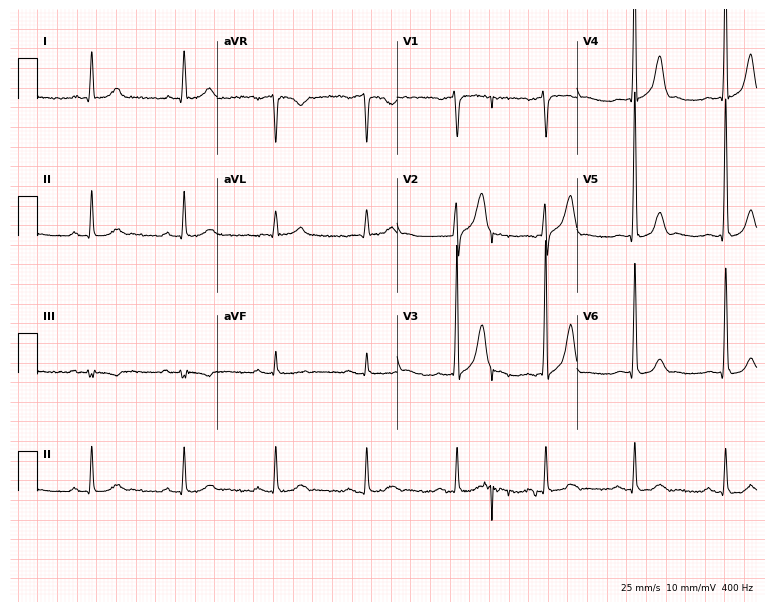
12-lead ECG from a man, 67 years old (7.3-second recording at 400 Hz). Recorded interpretation: within normal limits.